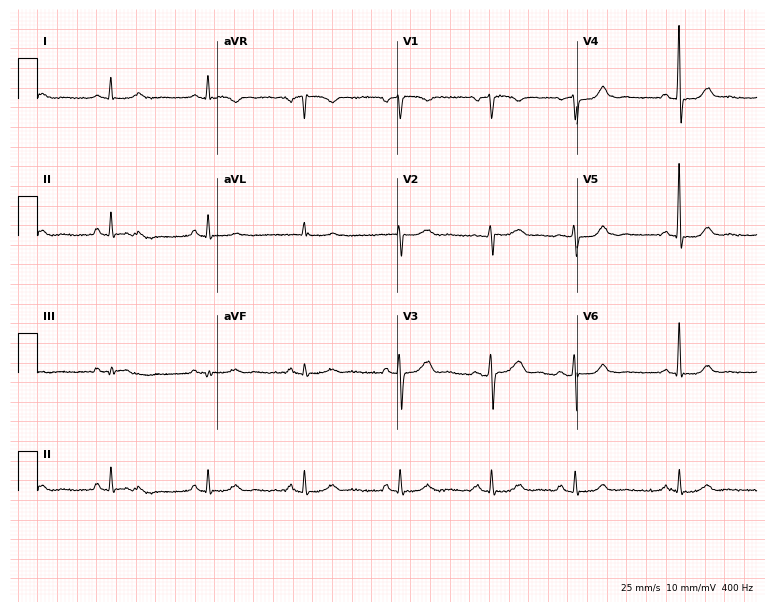
Standard 12-lead ECG recorded from a 53-year-old male. Read as a normal ECG.